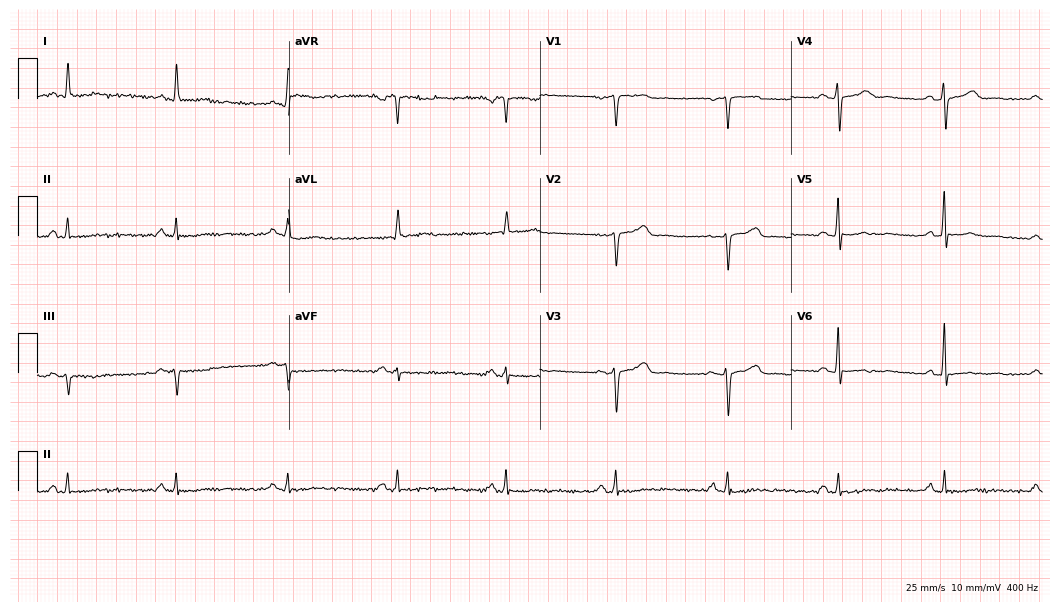
Resting 12-lead electrocardiogram (10.2-second recording at 400 Hz). Patient: a woman, 53 years old. Read as a normal ECG.